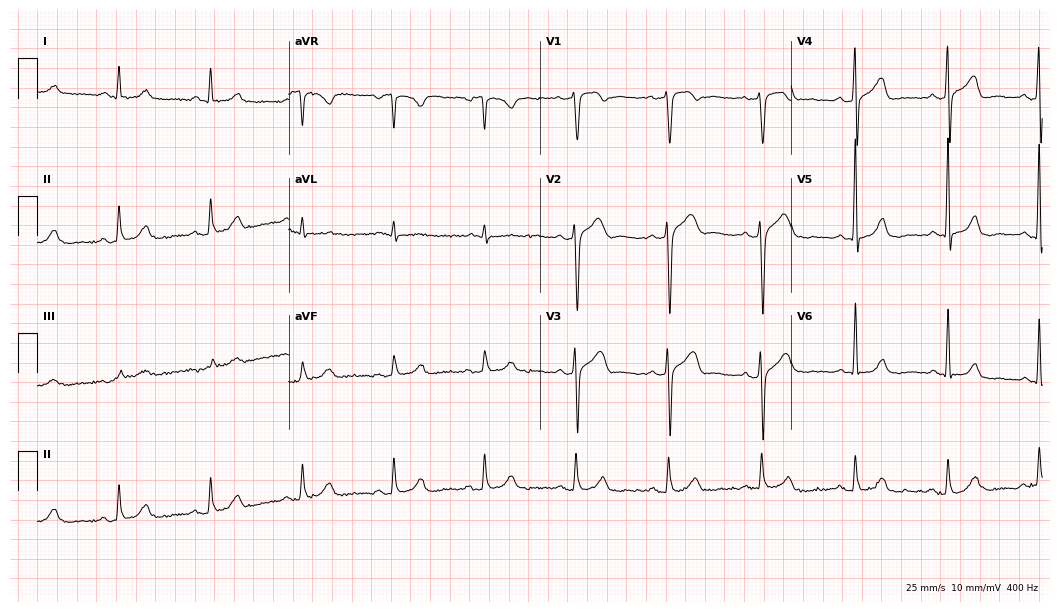
ECG (10.2-second recording at 400 Hz) — a 63-year-old female. Labelled as a normal ECG.